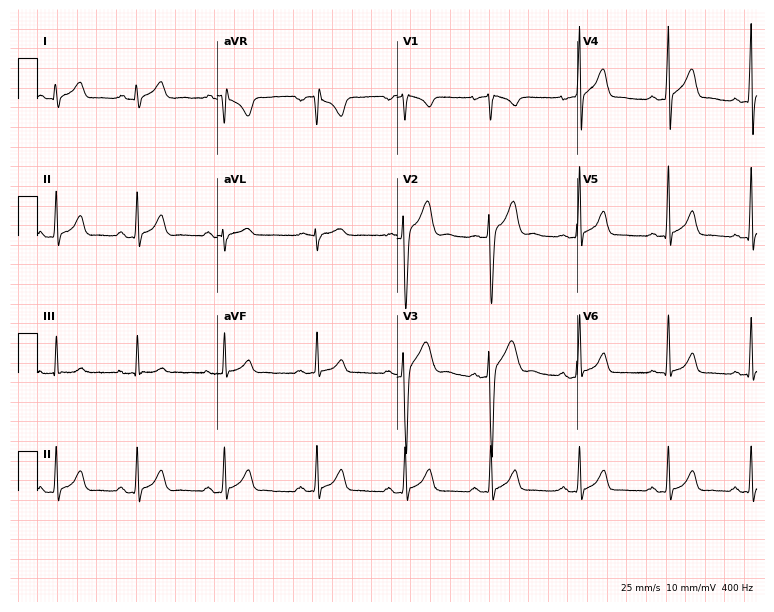
ECG — a male patient, 25 years old. Labelled as a normal ECG.